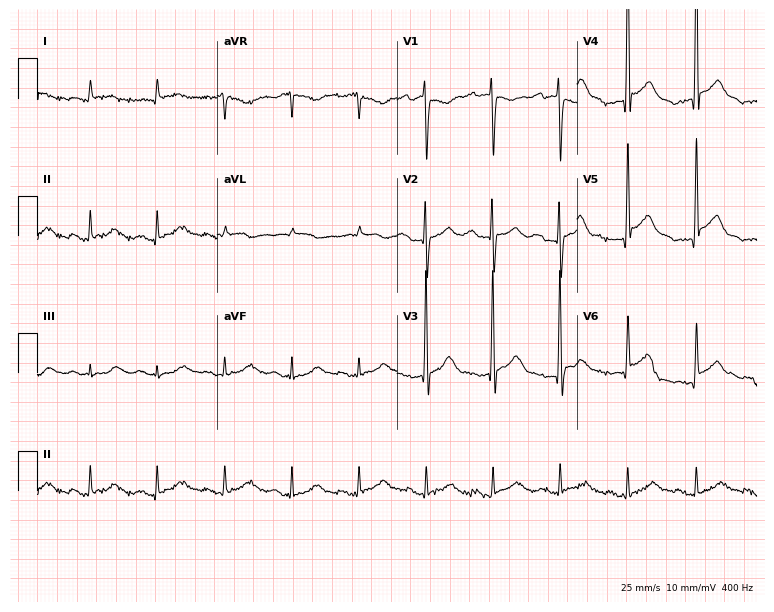
12-lead ECG (7.3-second recording at 400 Hz) from an 86-year-old female patient. Findings include first-degree AV block.